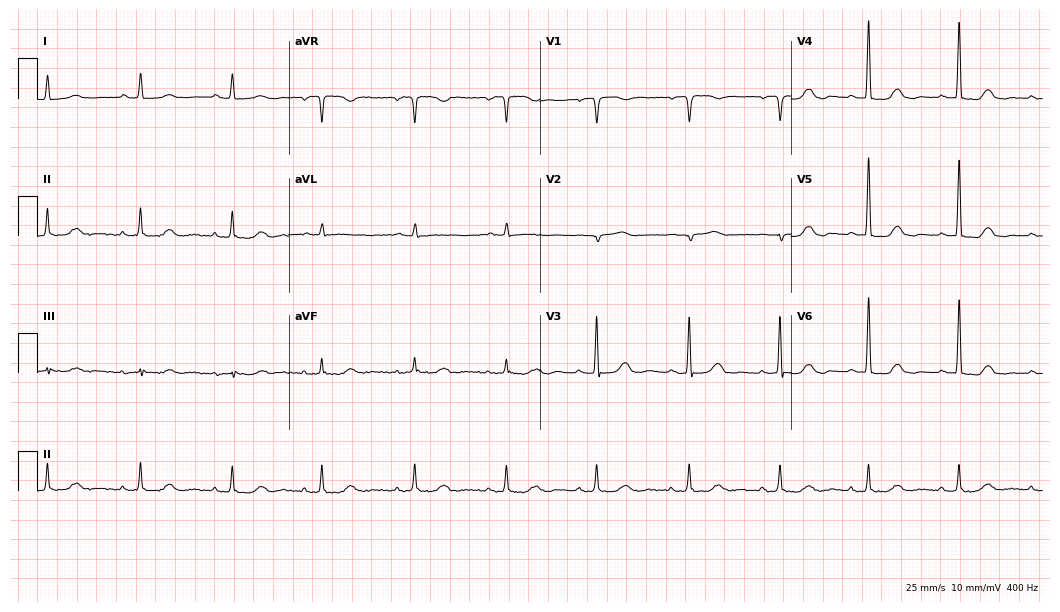
12-lead ECG from a female patient, 68 years old (10.2-second recording at 400 Hz). Recorded interpretation: within normal limits.